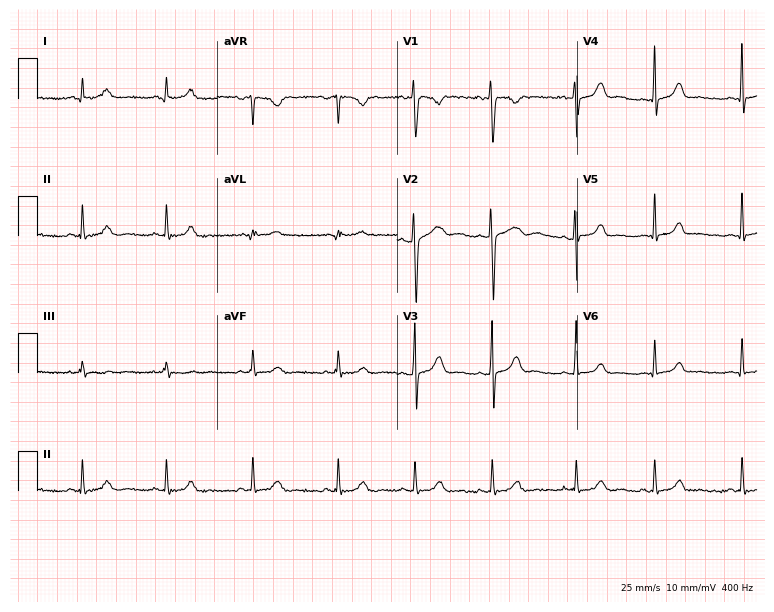
12-lead ECG (7.3-second recording at 400 Hz) from a female, 23 years old. Labelled as a normal ECG.